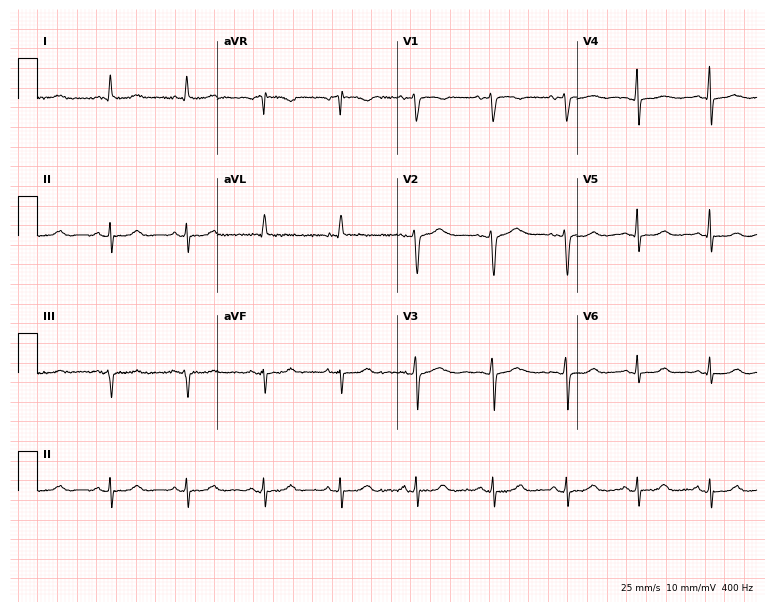
Standard 12-lead ECG recorded from a female patient, 54 years old. None of these six findings is recorded: first-degree AV block, right bundle branch block, left bundle branch block, sinus bradycardia, atrial fibrillation, sinus tachycardia.